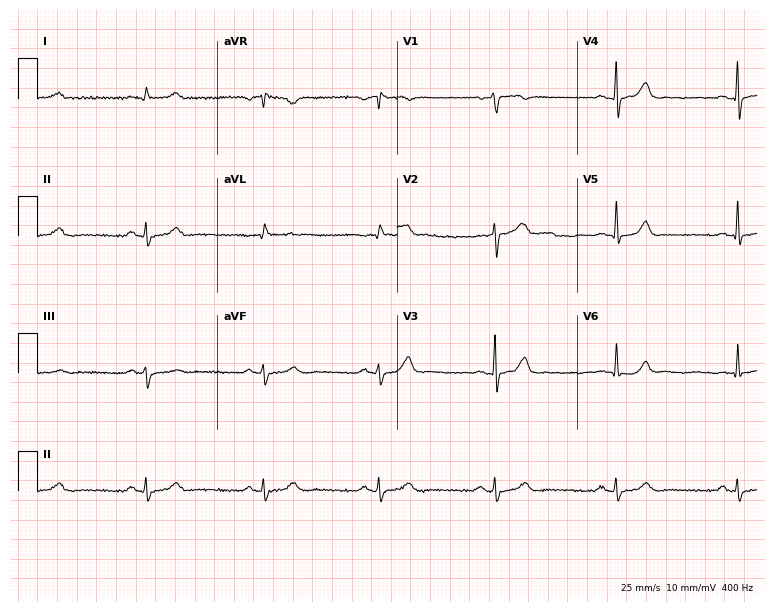
Electrocardiogram (7.3-second recording at 400 Hz), a 45-year-old male. Overall reading on record: normal ECG.